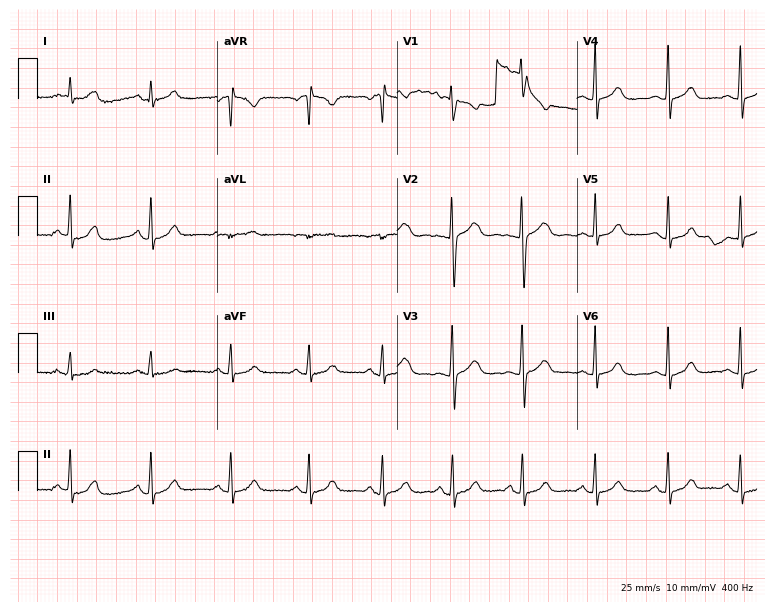
Standard 12-lead ECG recorded from a female patient, 23 years old. Read as a normal ECG.